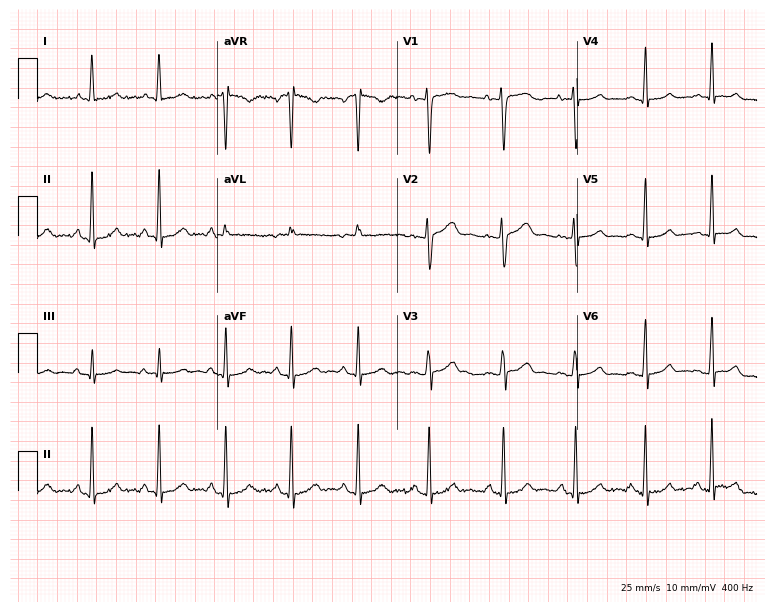
12-lead ECG from a 24-year-old female. Screened for six findings — first-degree AV block, right bundle branch block, left bundle branch block, sinus bradycardia, atrial fibrillation, sinus tachycardia — none is recorded. Only these six findings were labelled.